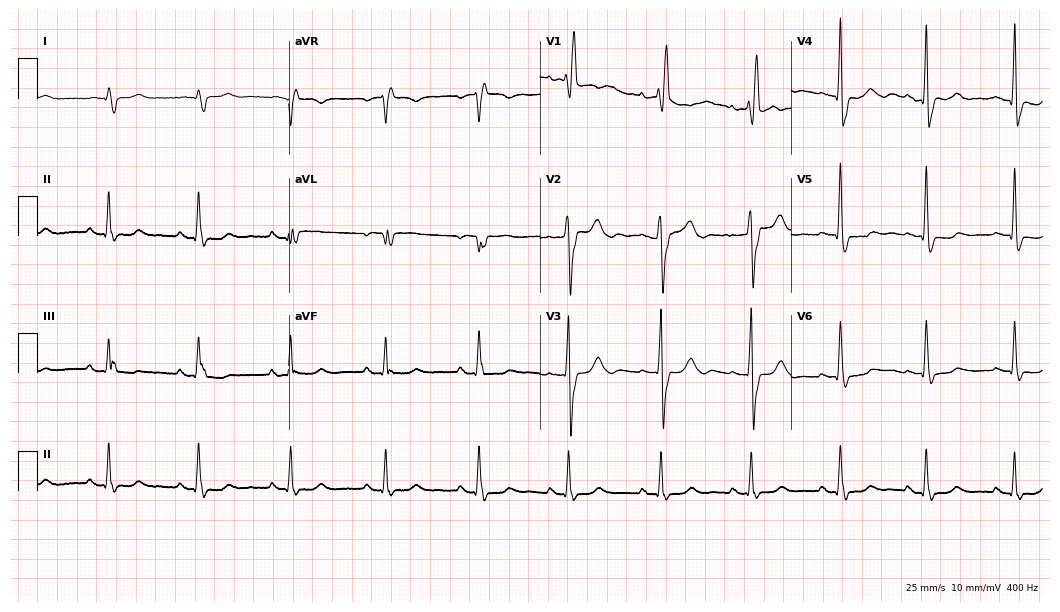
ECG (10.2-second recording at 400 Hz) — a man, 83 years old. Findings include right bundle branch block (RBBB).